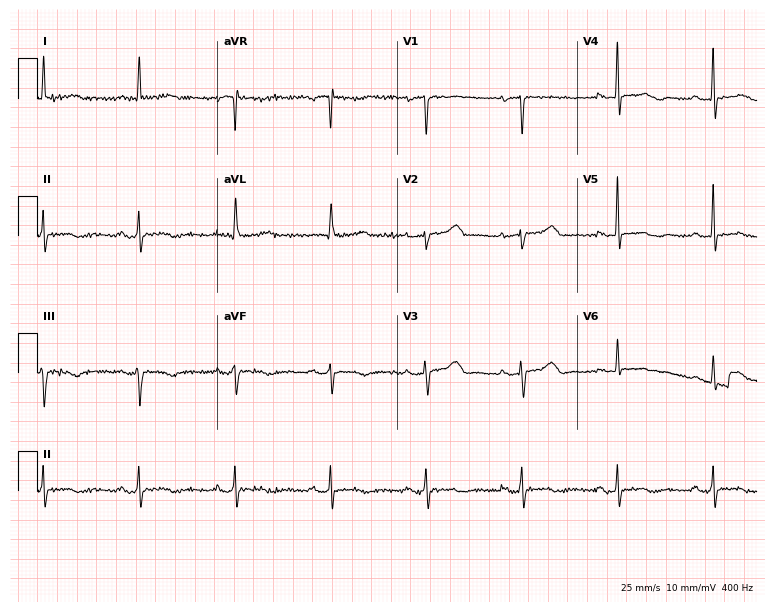
12-lead ECG from a 74-year-old female. No first-degree AV block, right bundle branch block (RBBB), left bundle branch block (LBBB), sinus bradycardia, atrial fibrillation (AF) or sinus tachycardia recorded for this tracing.